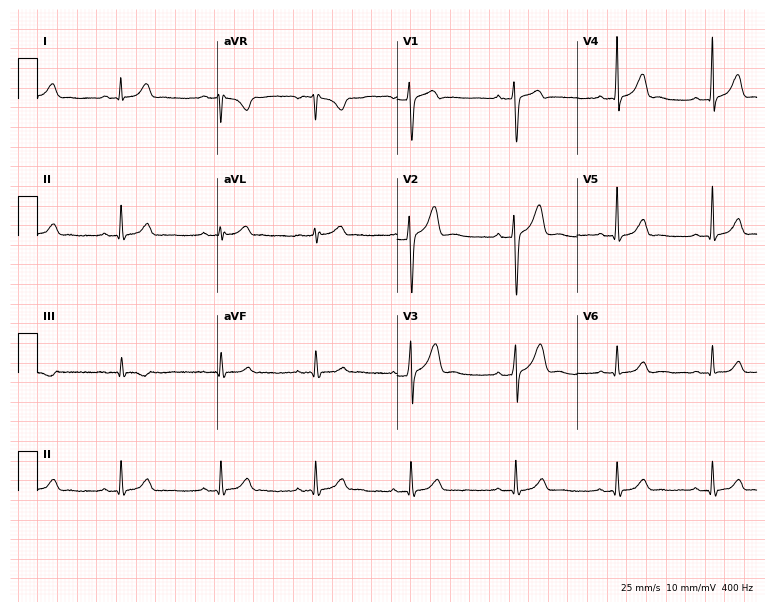
Electrocardiogram (7.3-second recording at 400 Hz), a 22-year-old male patient. Of the six screened findings (first-degree AV block, right bundle branch block (RBBB), left bundle branch block (LBBB), sinus bradycardia, atrial fibrillation (AF), sinus tachycardia), none is recorded. Only these six findings were labelled.